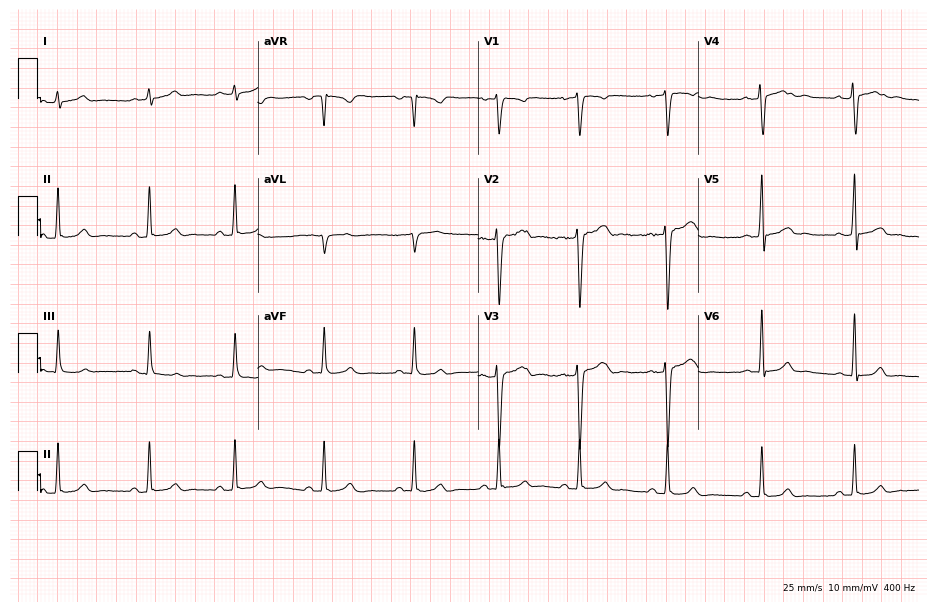
12-lead ECG from a man, 27 years old. Labelled as a normal ECG.